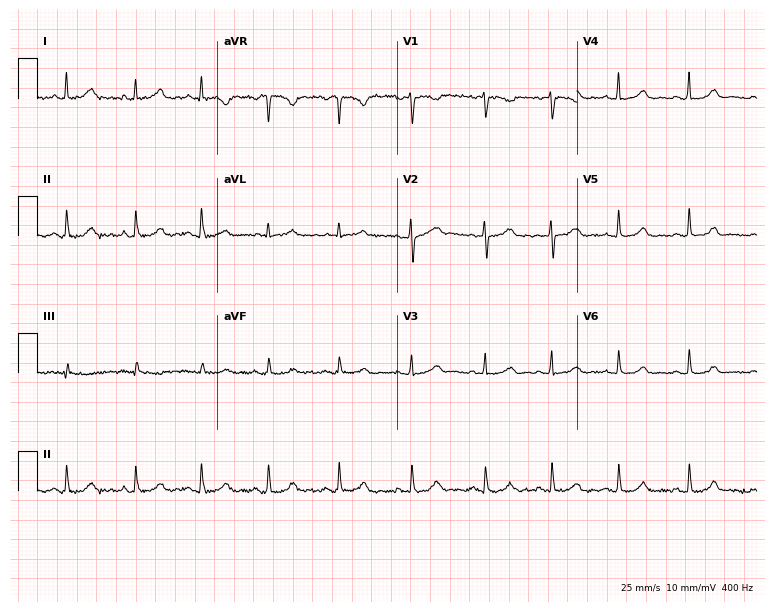
ECG — a 19-year-old woman. Labelled as a normal ECG.